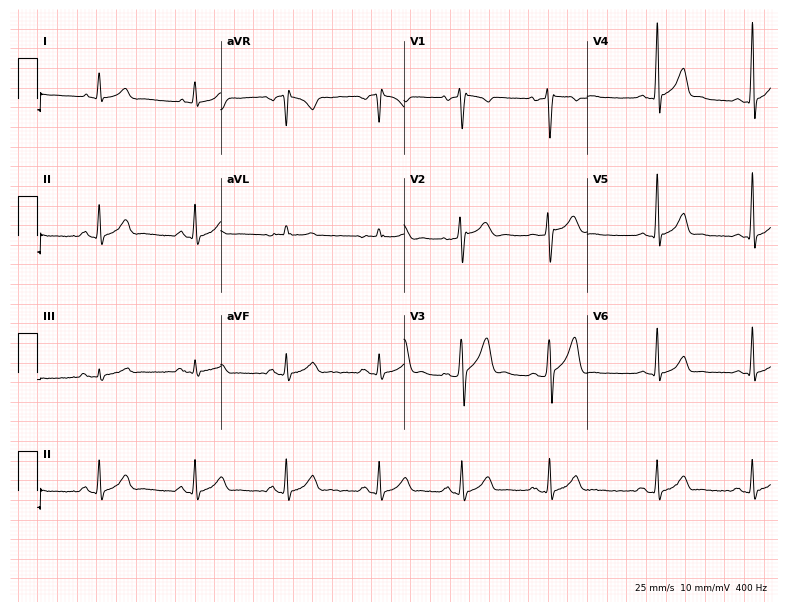
ECG — a man, 33 years old. Screened for six findings — first-degree AV block, right bundle branch block (RBBB), left bundle branch block (LBBB), sinus bradycardia, atrial fibrillation (AF), sinus tachycardia — none is recorded. Findings outside these six are not listed.